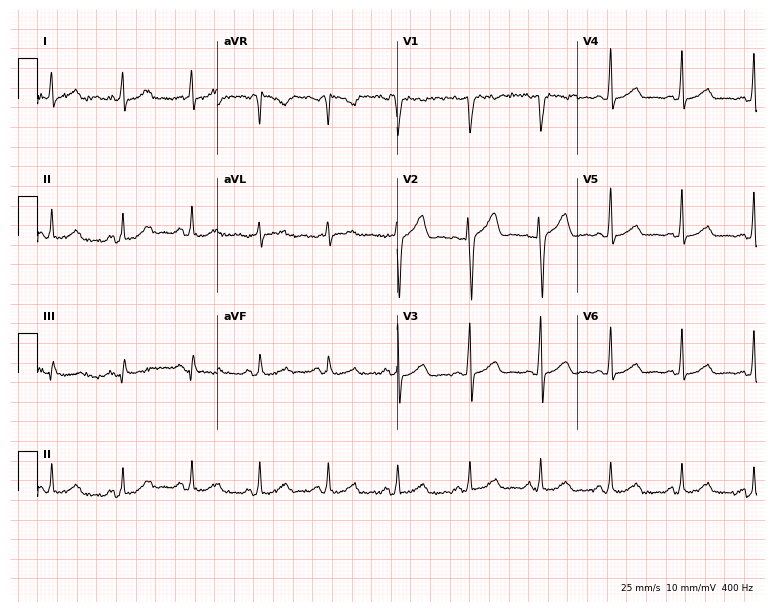
ECG (7.3-second recording at 400 Hz) — a male, 39 years old. Labelled as a normal ECG.